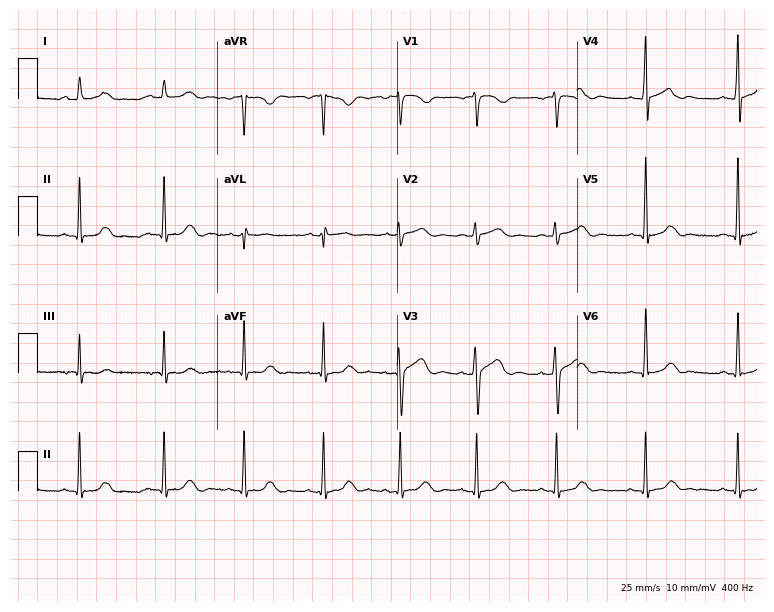
12-lead ECG from a female, 64 years old. Screened for six findings — first-degree AV block, right bundle branch block, left bundle branch block, sinus bradycardia, atrial fibrillation, sinus tachycardia — none is recorded.